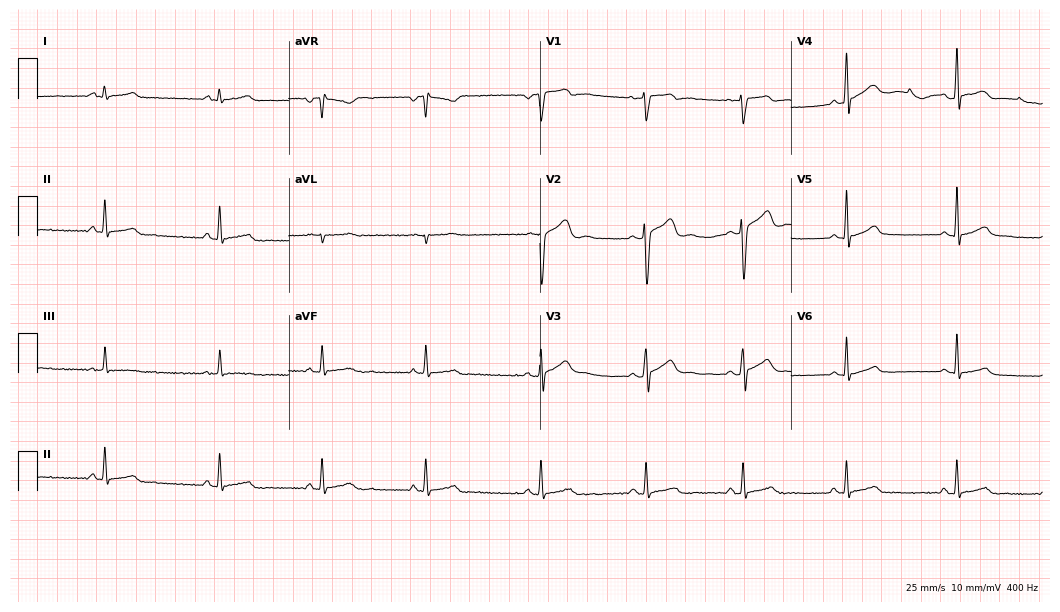
12-lead ECG from a man, 23 years old. Recorded interpretation: within normal limits.